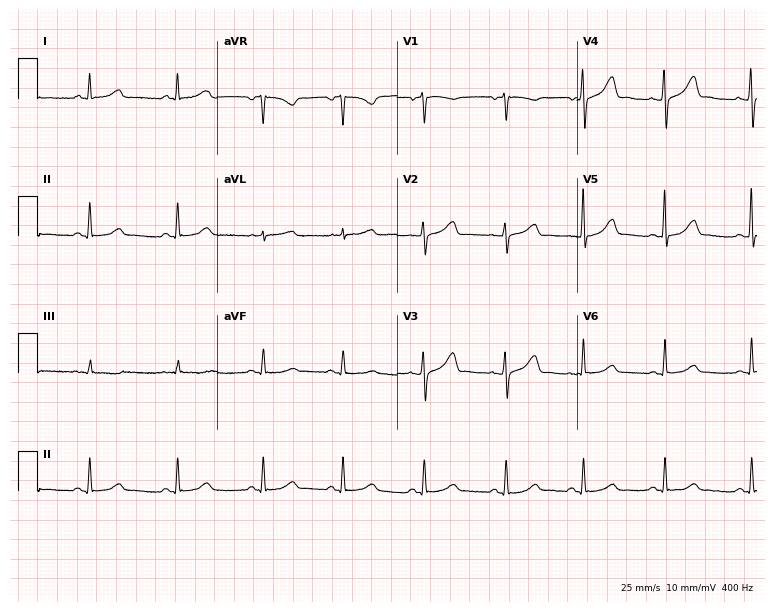
12-lead ECG from a female patient, 37 years old. Recorded interpretation: within normal limits.